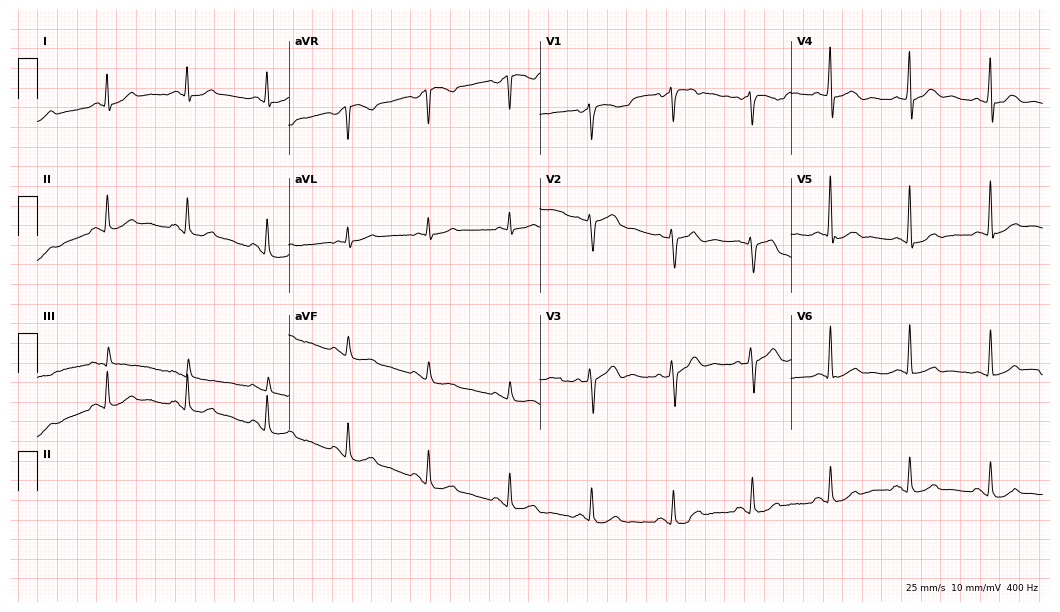
Standard 12-lead ECG recorded from a male patient, 59 years old (10.2-second recording at 400 Hz). None of these six findings is recorded: first-degree AV block, right bundle branch block (RBBB), left bundle branch block (LBBB), sinus bradycardia, atrial fibrillation (AF), sinus tachycardia. Other findings, if any, are not listed.